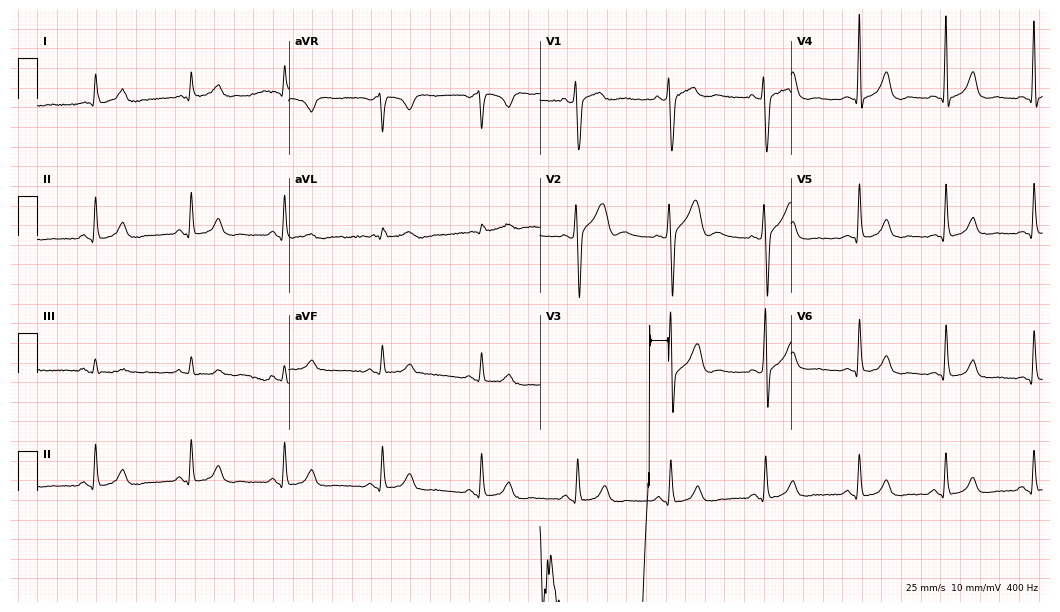
12-lead ECG from a male, 54 years old. Labelled as a normal ECG.